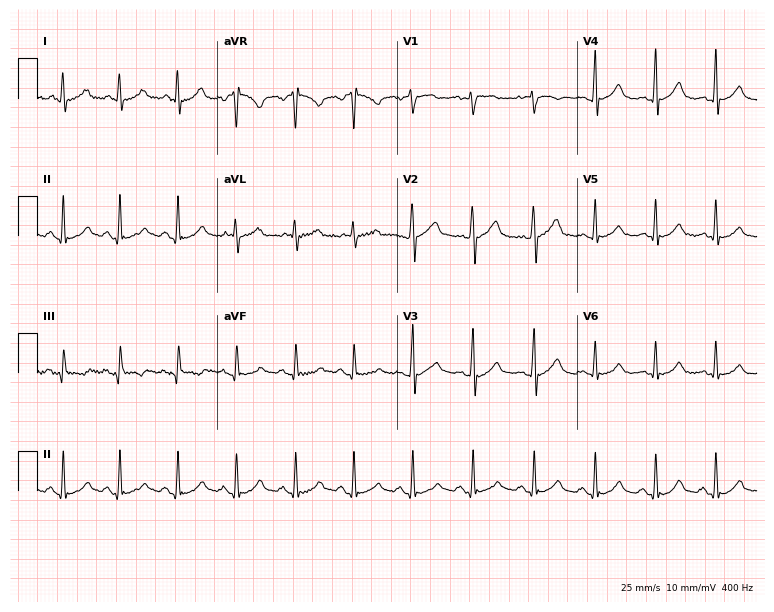
Standard 12-lead ECG recorded from a man, 41 years old. Read as a normal ECG.